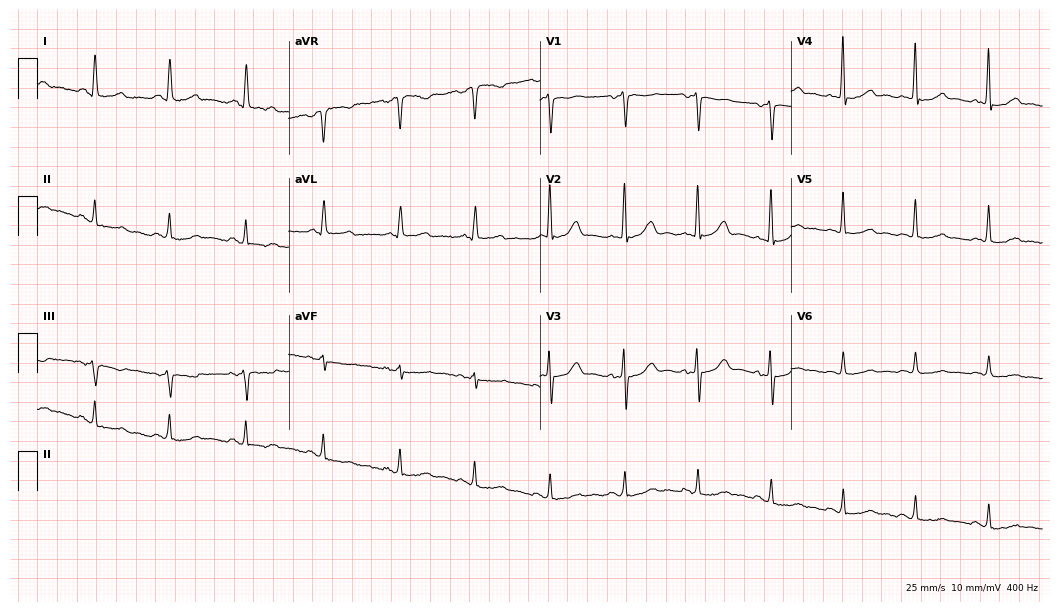
Standard 12-lead ECG recorded from a female patient, 67 years old. None of these six findings is recorded: first-degree AV block, right bundle branch block (RBBB), left bundle branch block (LBBB), sinus bradycardia, atrial fibrillation (AF), sinus tachycardia. Only these six findings were labelled.